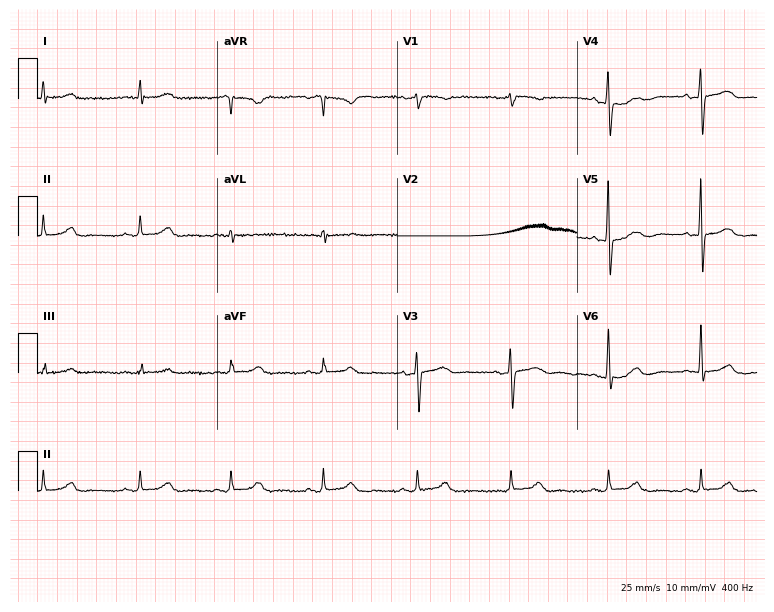
Electrocardiogram, a male patient, 80 years old. Of the six screened findings (first-degree AV block, right bundle branch block, left bundle branch block, sinus bradycardia, atrial fibrillation, sinus tachycardia), none is recorded. Only these six findings were labelled.